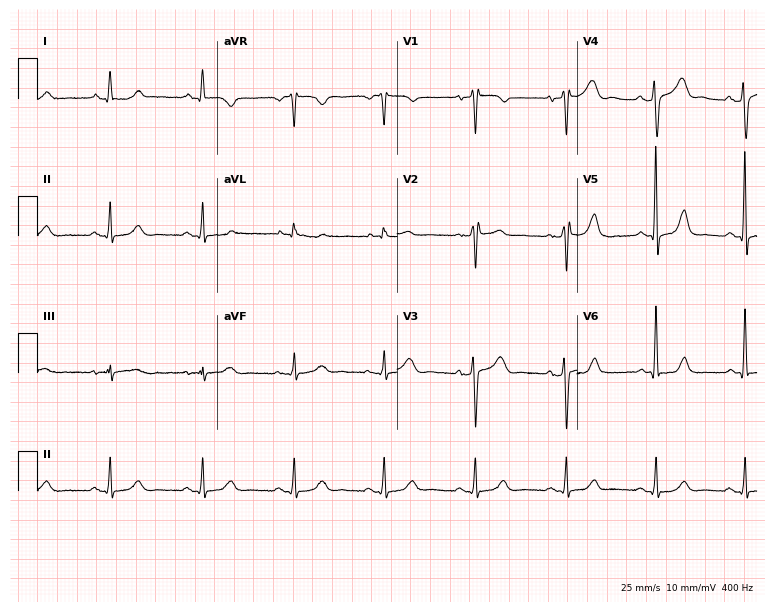
12-lead ECG (7.3-second recording at 400 Hz) from a 52-year-old female. Labelled as a normal ECG.